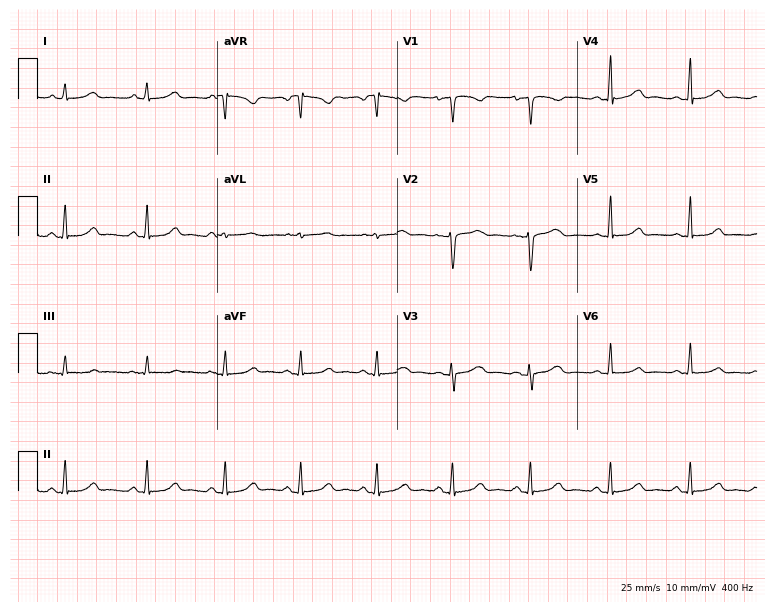
Electrocardiogram, a 40-year-old female patient. Of the six screened findings (first-degree AV block, right bundle branch block, left bundle branch block, sinus bradycardia, atrial fibrillation, sinus tachycardia), none is recorded. Only these six findings were labelled.